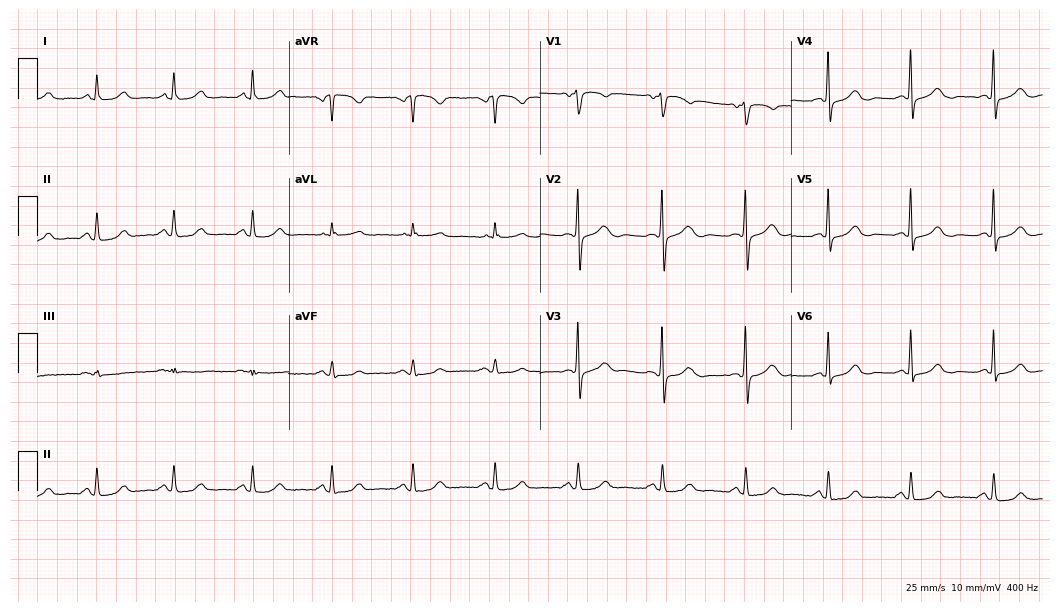
ECG — a 65-year-old female. Labelled as a normal ECG.